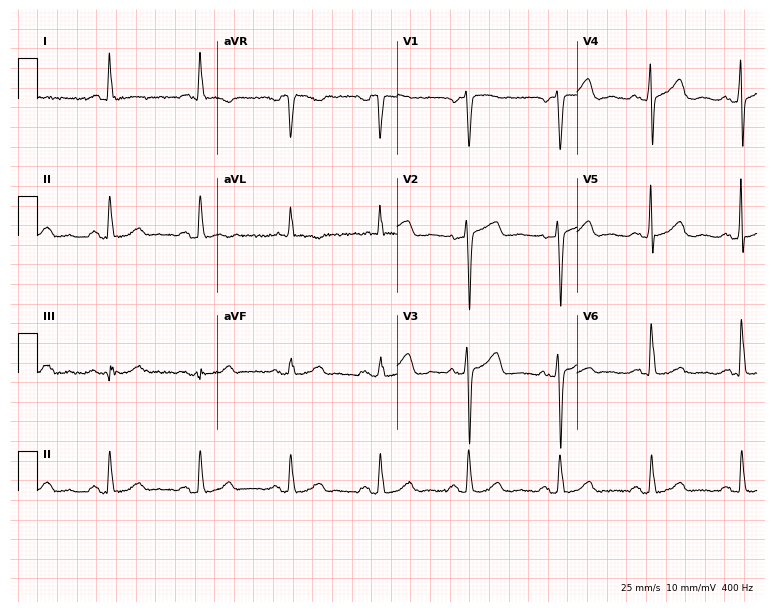
Electrocardiogram, a female patient, 66 years old. Overall reading on record: normal ECG.